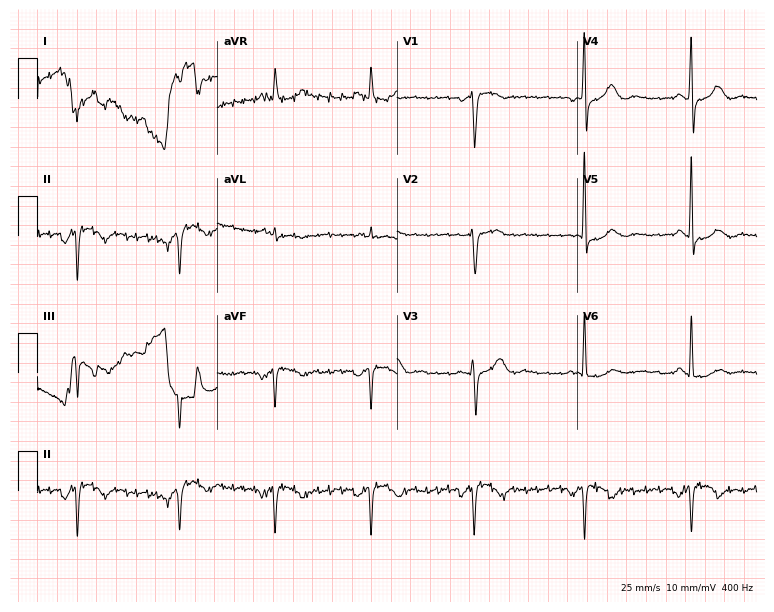
12-lead ECG (7.3-second recording at 400 Hz) from a female, 72 years old. Screened for six findings — first-degree AV block, right bundle branch block, left bundle branch block, sinus bradycardia, atrial fibrillation, sinus tachycardia — none is recorded. Findings outside these six are not listed.